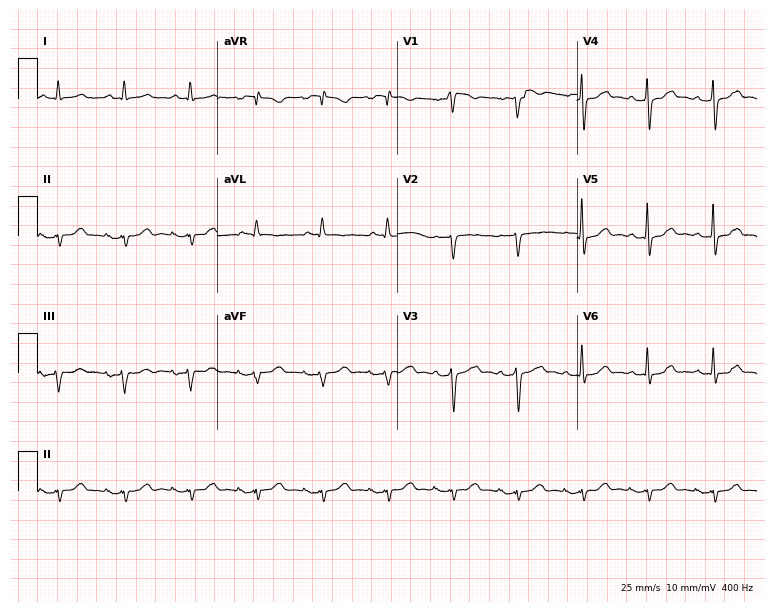
Electrocardiogram, a 49-year-old male patient. Of the six screened findings (first-degree AV block, right bundle branch block, left bundle branch block, sinus bradycardia, atrial fibrillation, sinus tachycardia), none is recorded.